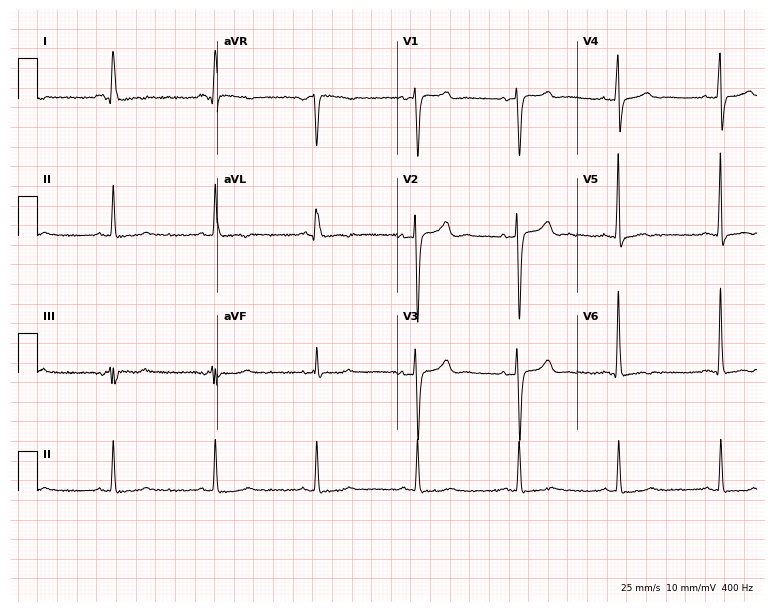
Standard 12-lead ECG recorded from a female, 45 years old (7.3-second recording at 400 Hz). None of these six findings is recorded: first-degree AV block, right bundle branch block, left bundle branch block, sinus bradycardia, atrial fibrillation, sinus tachycardia.